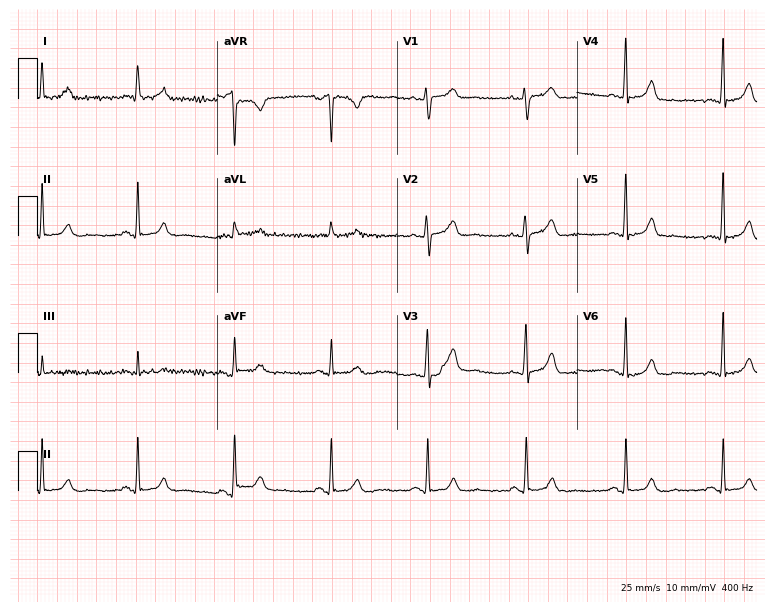
Resting 12-lead electrocardiogram. Patient: a 66-year-old male. Read as a normal ECG.